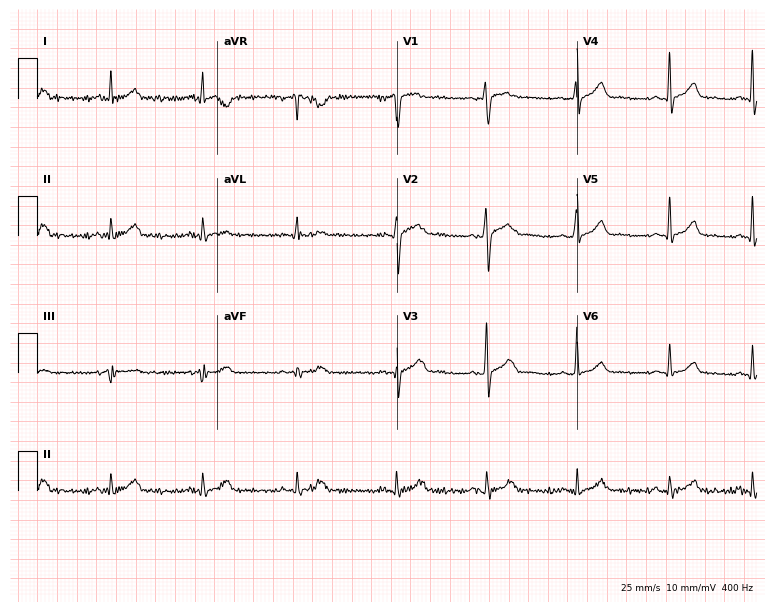
12-lead ECG from a male patient, 34 years old. Recorded interpretation: within normal limits.